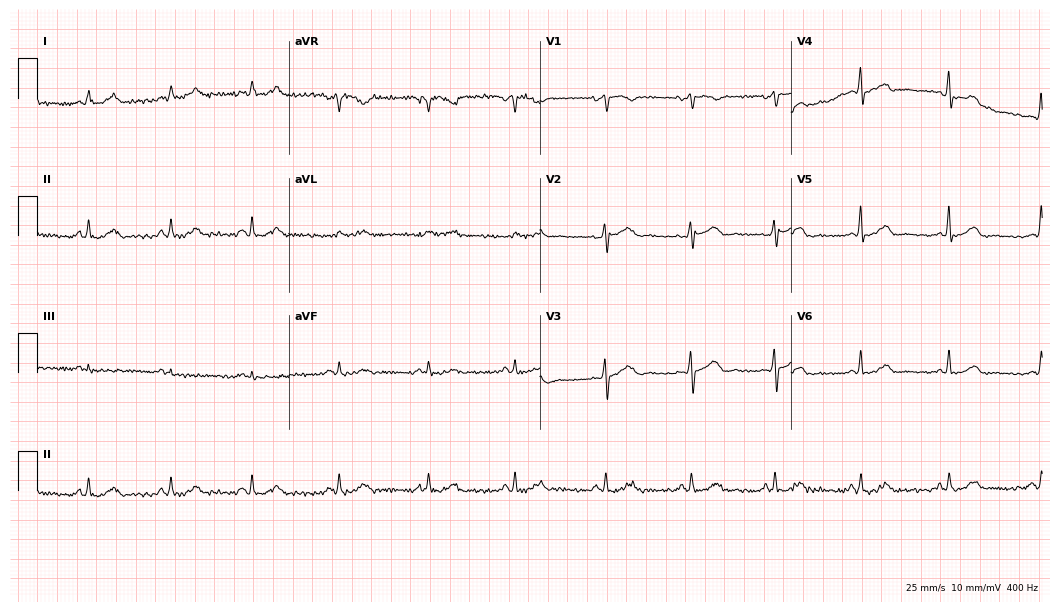
Electrocardiogram (10.2-second recording at 400 Hz), a 52-year-old female. Overall reading on record: normal ECG.